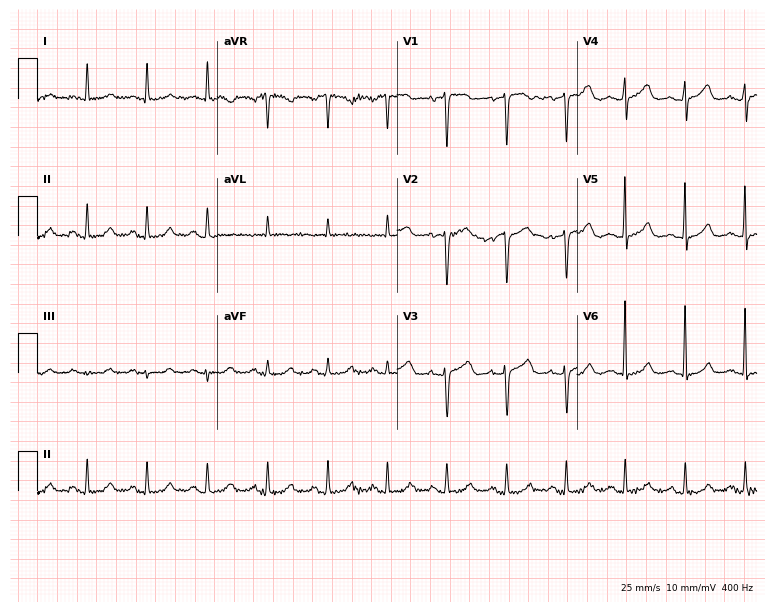
Resting 12-lead electrocardiogram (7.3-second recording at 400 Hz). Patient: a 77-year-old female. Read as a normal ECG.